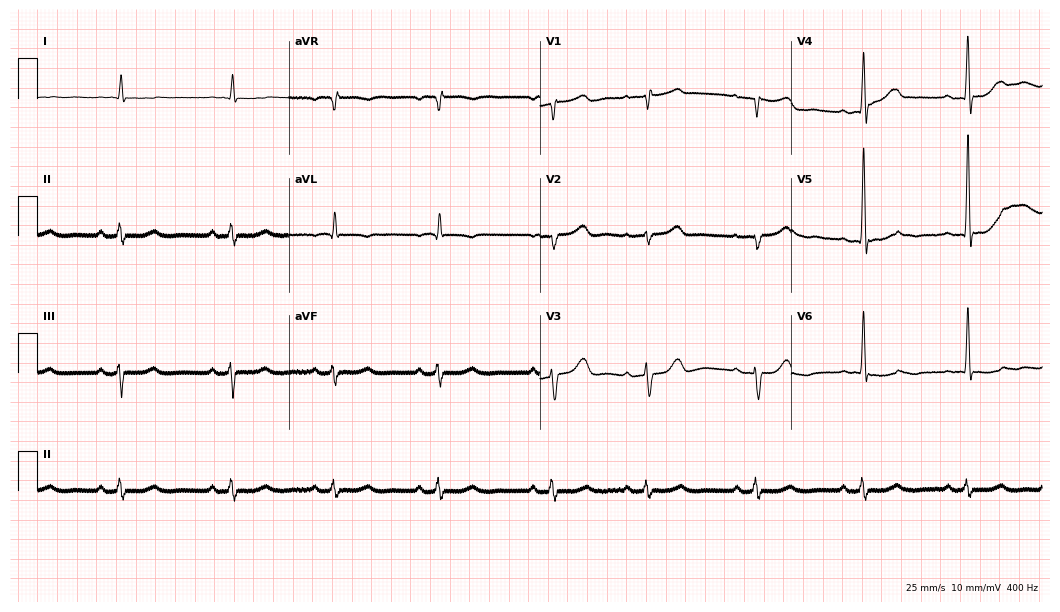
12-lead ECG from a 78-year-old male patient (10.2-second recording at 400 Hz). Recorded interpretation: within normal limits.